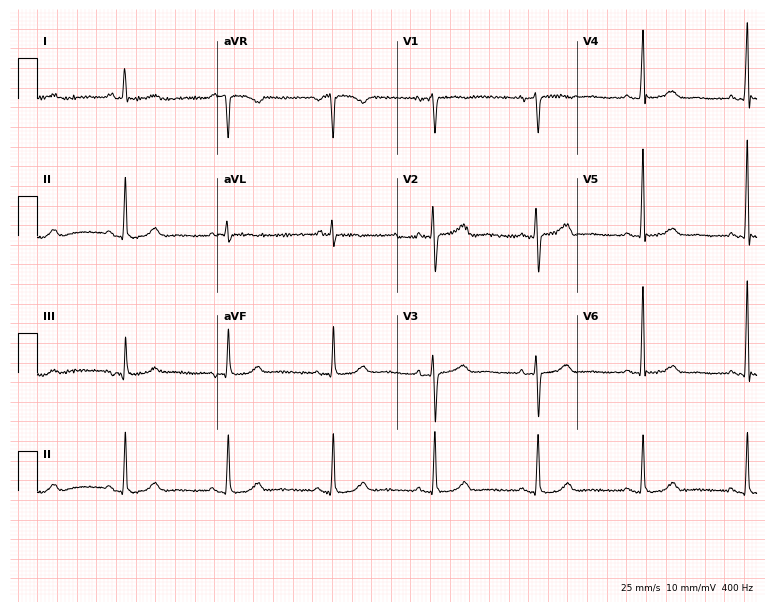
12-lead ECG from a 62-year-old female patient. Recorded interpretation: within normal limits.